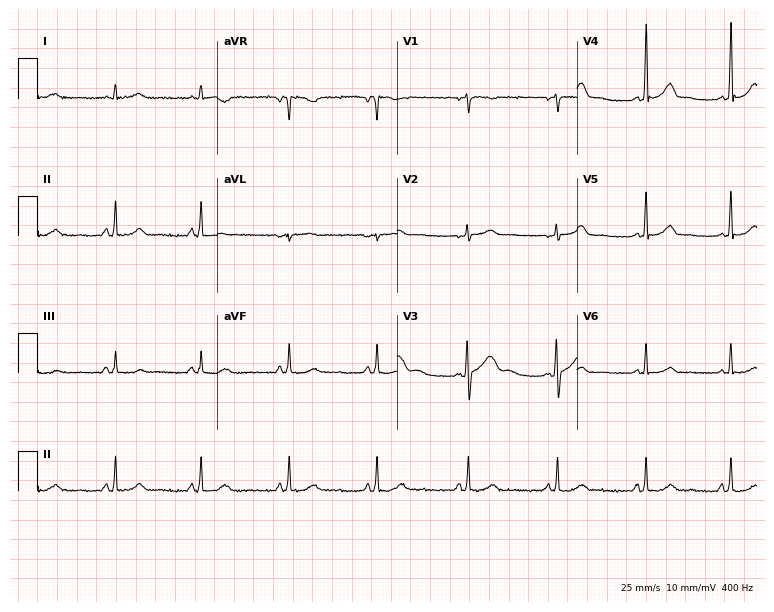
Standard 12-lead ECG recorded from a woman, 37 years old. None of these six findings is recorded: first-degree AV block, right bundle branch block, left bundle branch block, sinus bradycardia, atrial fibrillation, sinus tachycardia. Other findings, if any, are not listed.